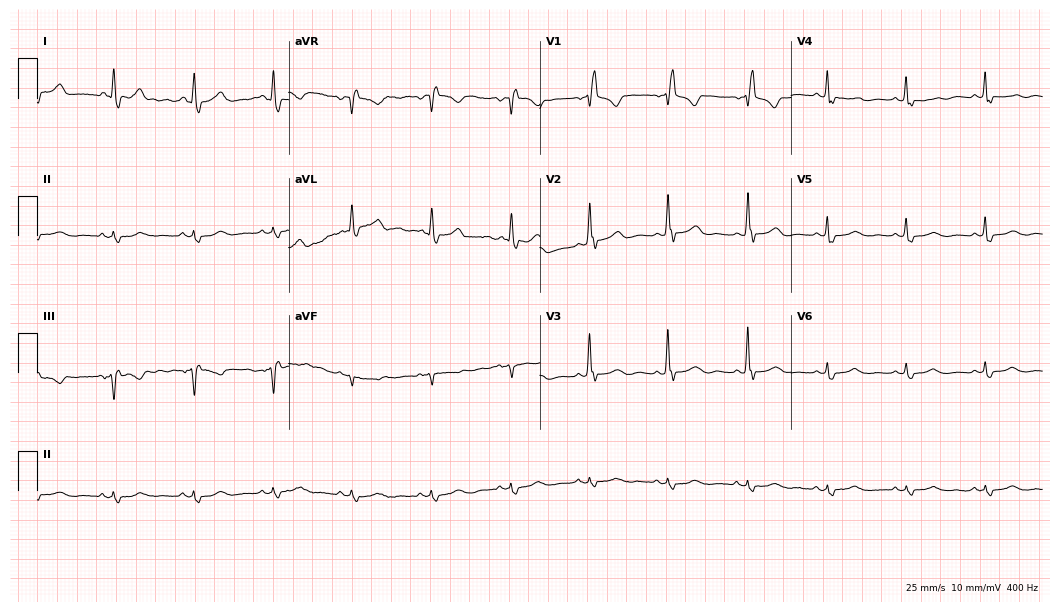
Electrocardiogram (10.2-second recording at 400 Hz), a 77-year-old female. Interpretation includes right bundle branch block (RBBB).